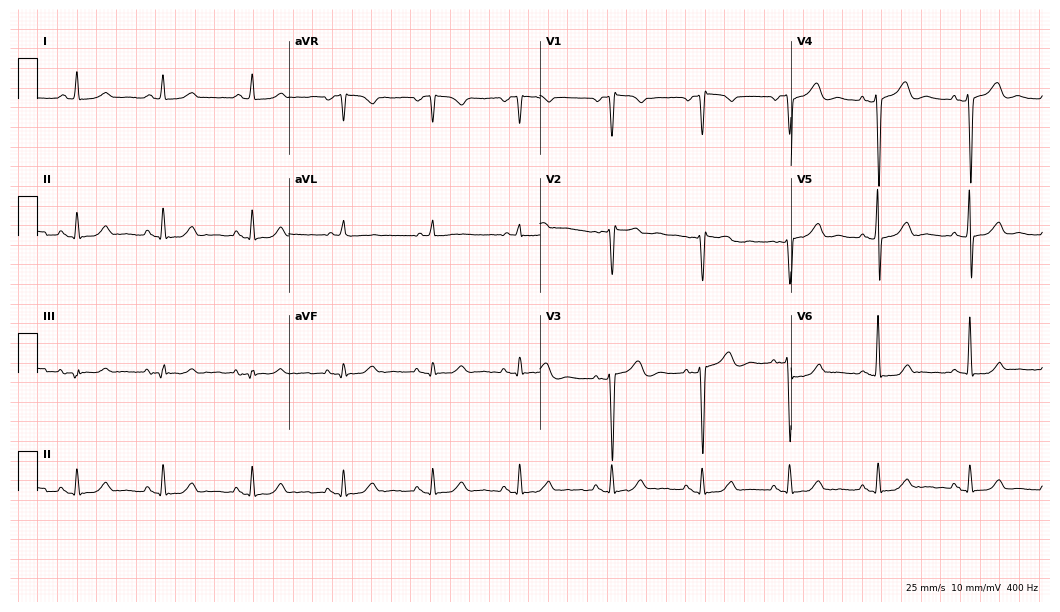
12-lead ECG (10.2-second recording at 400 Hz) from a female patient, 59 years old. Screened for six findings — first-degree AV block, right bundle branch block, left bundle branch block, sinus bradycardia, atrial fibrillation, sinus tachycardia — none is recorded. Only these six findings were labelled.